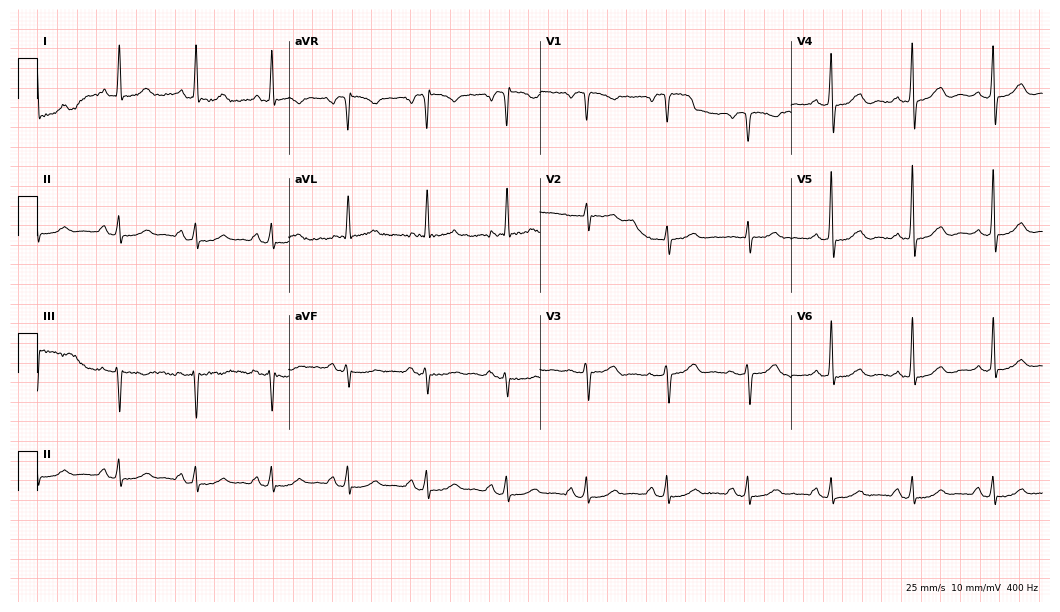
ECG — a 56-year-old female patient. Labelled as a normal ECG.